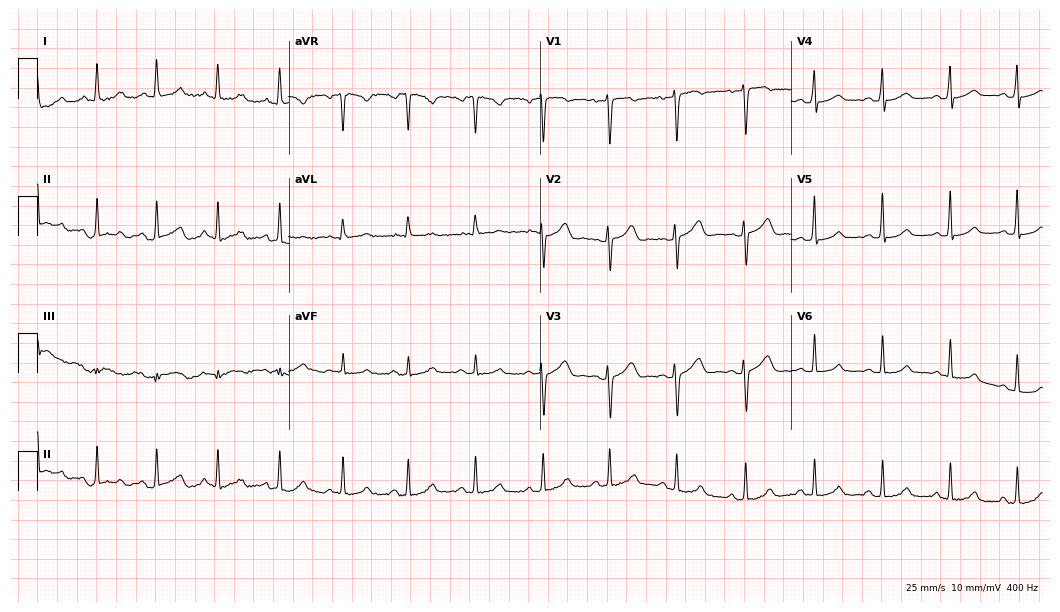
Electrocardiogram, a 25-year-old female patient. Of the six screened findings (first-degree AV block, right bundle branch block (RBBB), left bundle branch block (LBBB), sinus bradycardia, atrial fibrillation (AF), sinus tachycardia), none is recorded. Other findings, if any, are not listed.